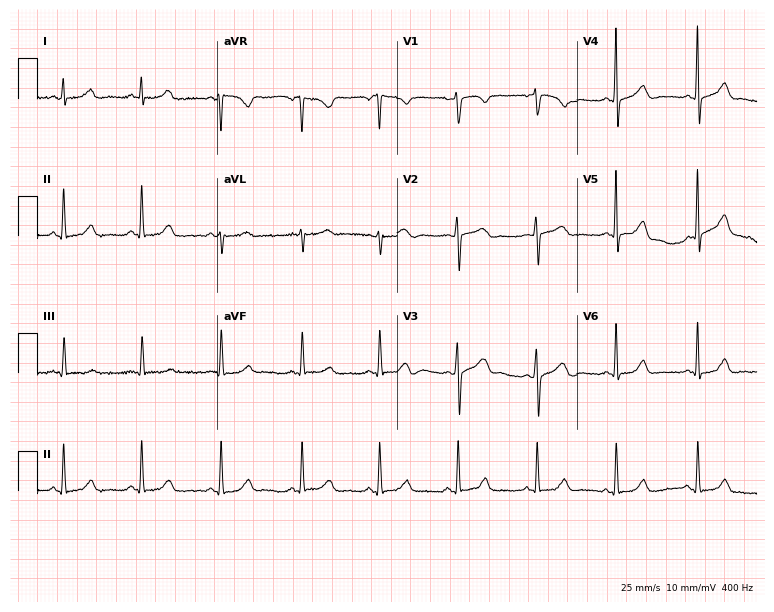
ECG (7.3-second recording at 400 Hz) — a 50-year-old female. Screened for six findings — first-degree AV block, right bundle branch block, left bundle branch block, sinus bradycardia, atrial fibrillation, sinus tachycardia — none is recorded.